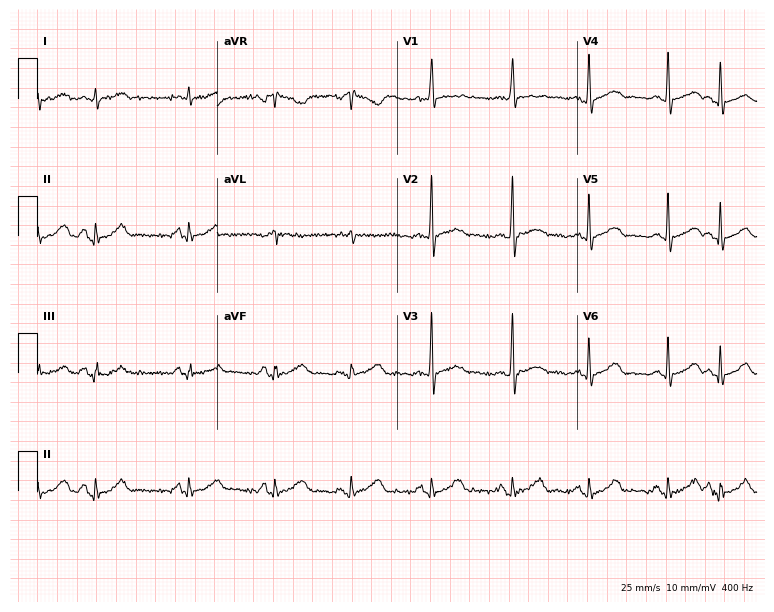
12-lead ECG from a female patient, 80 years old. No first-degree AV block, right bundle branch block (RBBB), left bundle branch block (LBBB), sinus bradycardia, atrial fibrillation (AF) or sinus tachycardia recorded for this tracing.